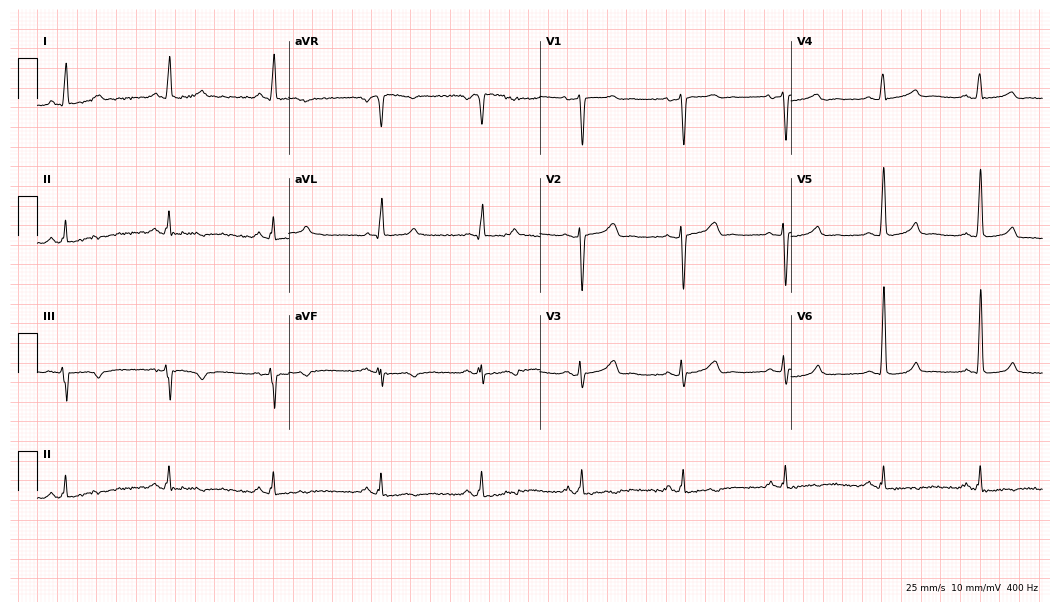
Standard 12-lead ECG recorded from a 45-year-old female. Read as a normal ECG.